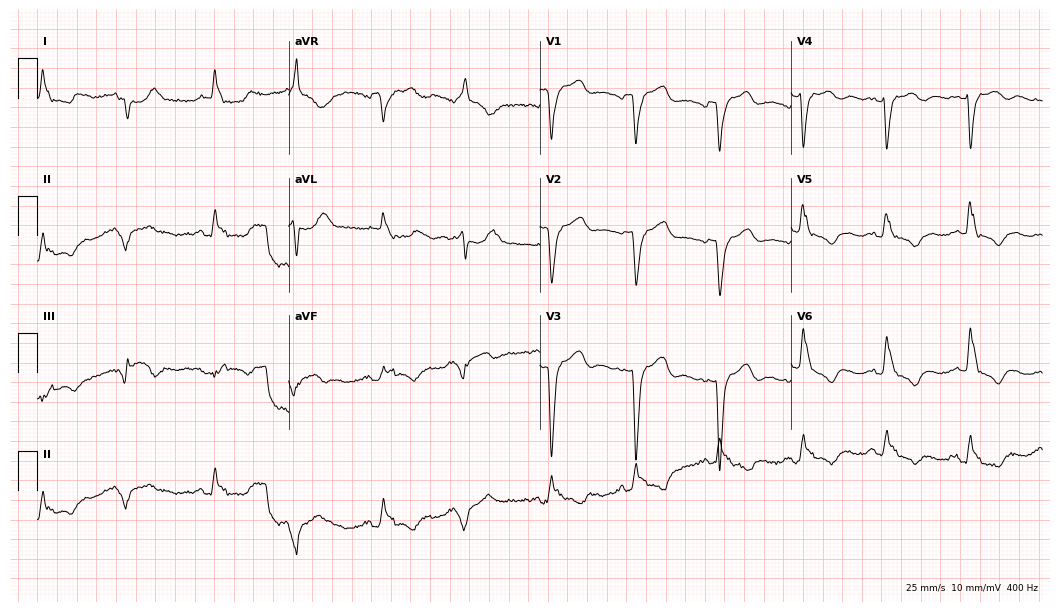
Resting 12-lead electrocardiogram. Patient: a female, 85 years old. None of these six findings is recorded: first-degree AV block, right bundle branch block, left bundle branch block, sinus bradycardia, atrial fibrillation, sinus tachycardia. Only these six findings were labelled.